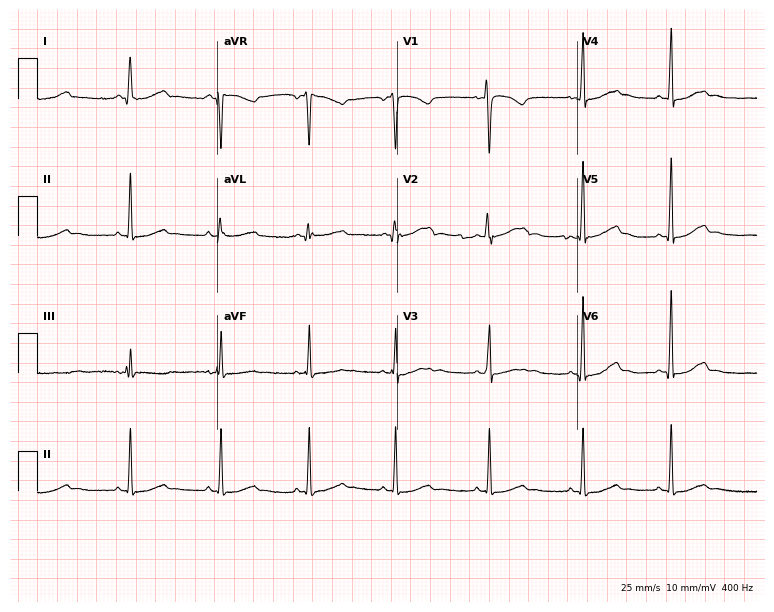
Resting 12-lead electrocardiogram. Patient: an 18-year-old female. None of these six findings is recorded: first-degree AV block, right bundle branch block, left bundle branch block, sinus bradycardia, atrial fibrillation, sinus tachycardia.